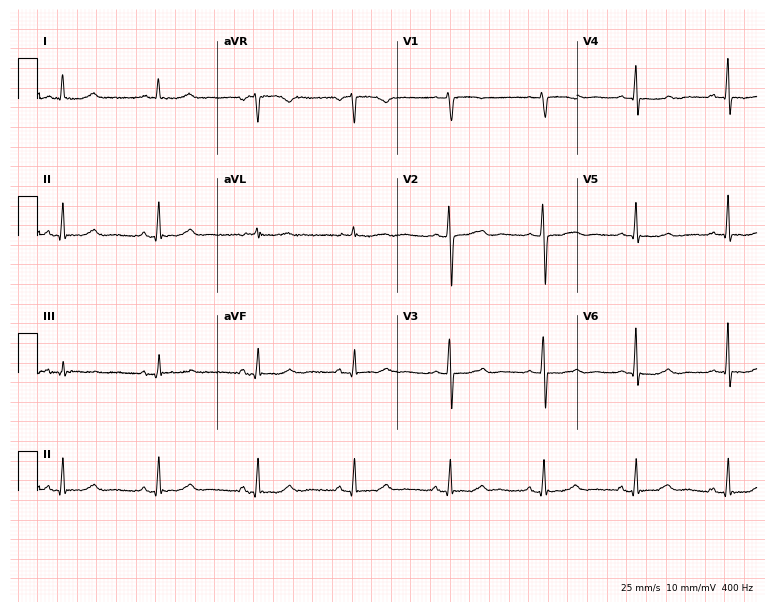
12-lead ECG from a 72-year-old female. No first-degree AV block, right bundle branch block (RBBB), left bundle branch block (LBBB), sinus bradycardia, atrial fibrillation (AF) or sinus tachycardia recorded for this tracing. Findings outside these six are not listed.